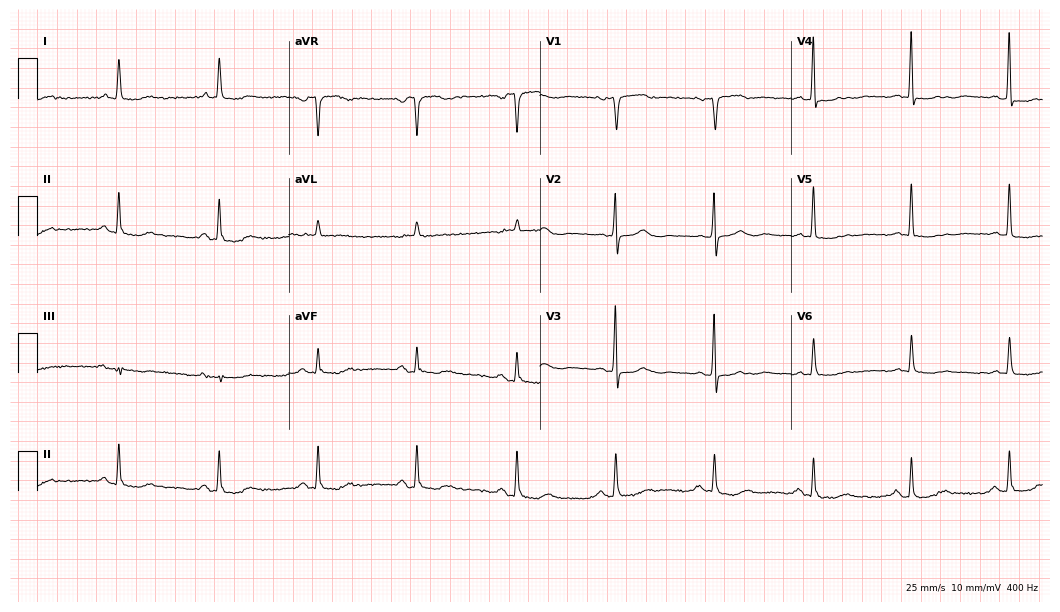
Electrocardiogram (10.2-second recording at 400 Hz), a female patient, 85 years old. Of the six screened findings (first-degree AV block, right bundle branch block (RBBB), left bundle branch block (LBBB), sinus bradycardia, atrial fibrillation (AF), sinus tachycardia), none is recorded. Only these six findings were labelled.